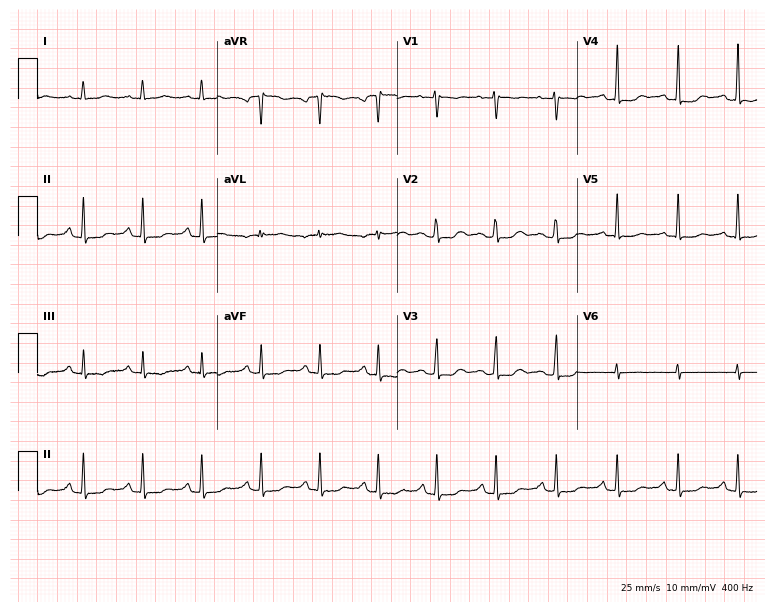
Electrocardiogram (7.3-second recording at 400 Hz), a 44-year-old female patient. Of the six screened findings (first-degree AV block, right bundle branch block (RBBB), left bundle branch block (LBBB), sinus bradycardia, atrial fibrillation (AF), sinus tachycardia), none is recorded.